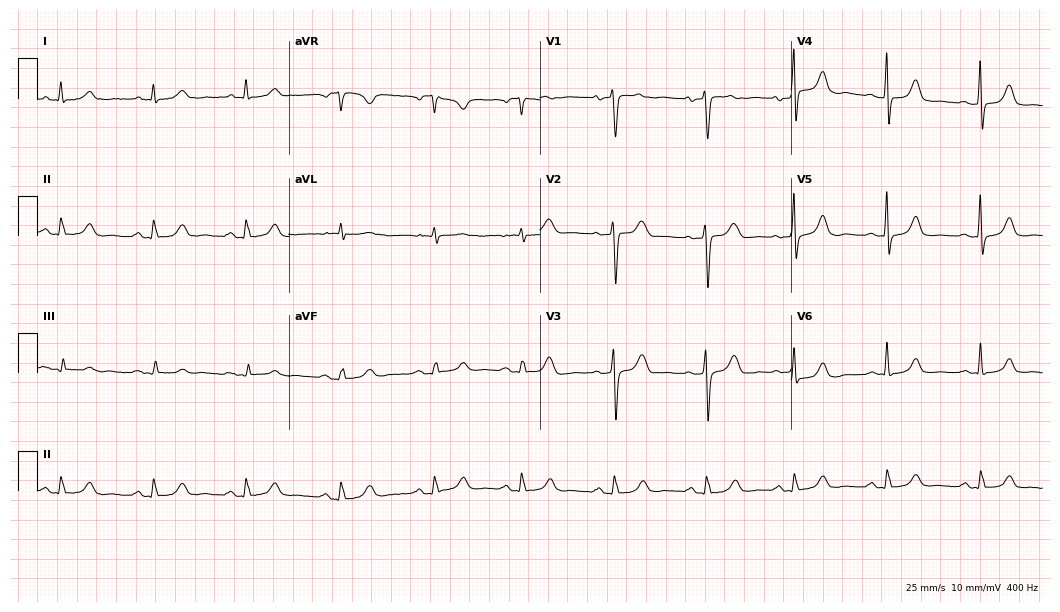
ECG (10.2-second recording at 400 Hz) — a female patient, 72 years old. Labelled as a normal ECG.